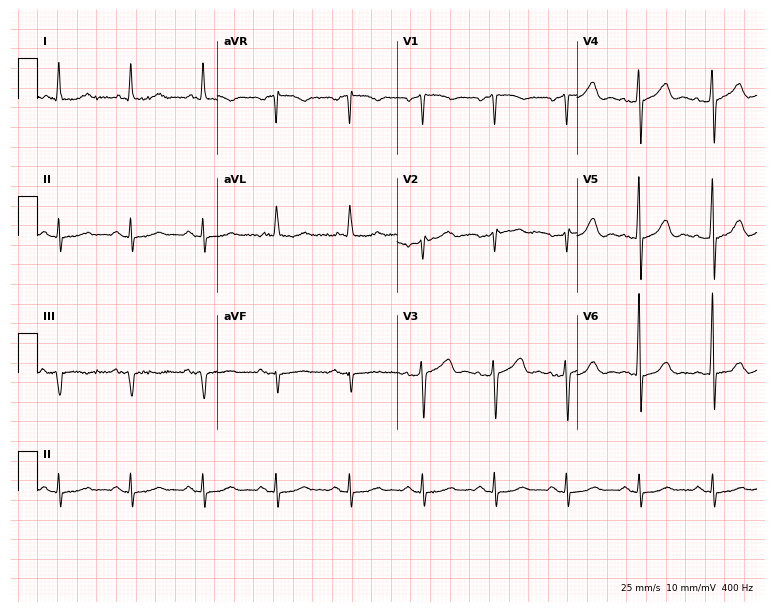
Electrocardiogram, a male, 55 years old. Of the six screened findings (first-degree AV block, right bundle branch block (RBBB), left bundle branch block (LBBB), sinus bradycardia, atrial fibrillation (AF), sinus tachycardia), none is recorded. Other findings, if any, are not listed.